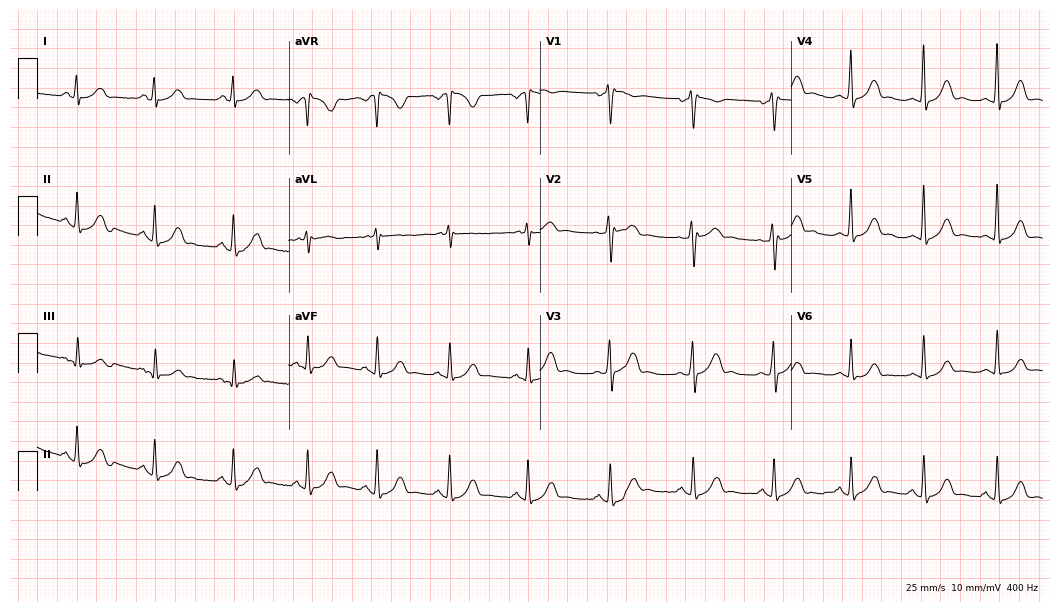
Standard 12-lead ECG recorded from a woman, 42 years old (10.2-second recording at 400 Hz). Read as a normal ECG.